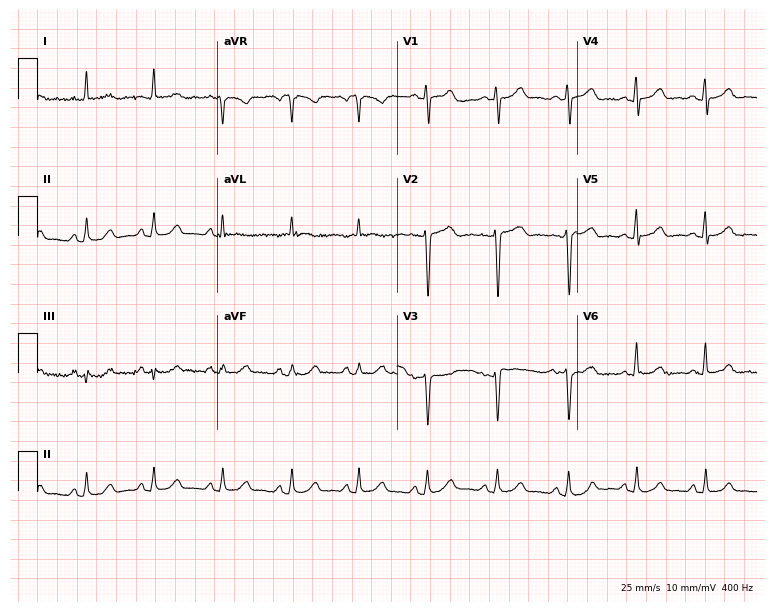
Electrocardiogram, a 58-year-old female patient. Overall reading on record: normal ECG.